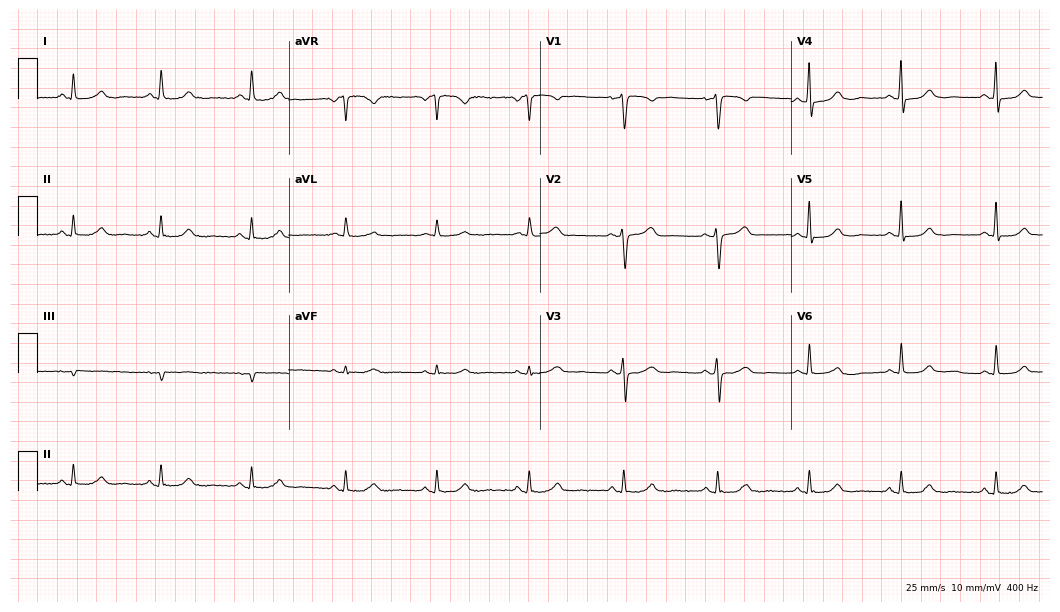
12-lead ECG from a 59-year-old woman. No first-degree AV block, right bundle branch block, left bundle branch block, sinus bradycardia, atrial fibrillation or sinus tachycardia recorded for this tracing.